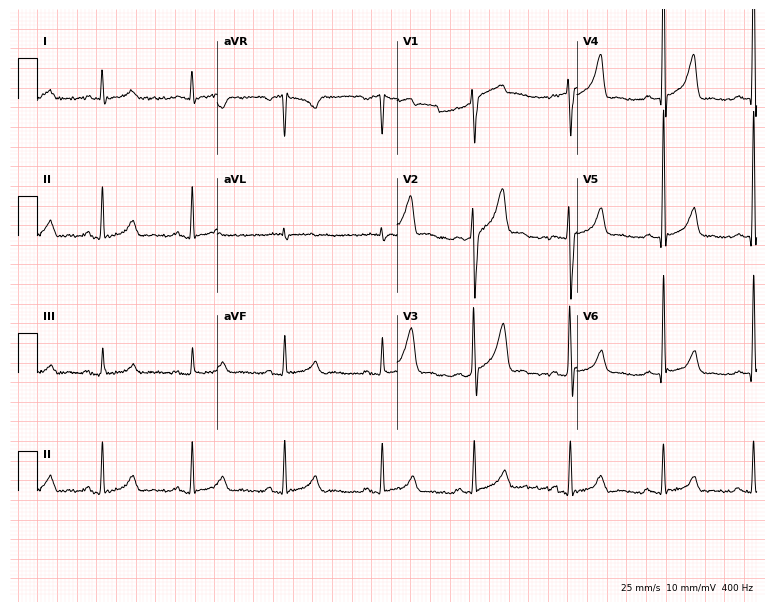
Standard 12-lead ECG recorded from a 33-year-old male patient. Read as a normal ECG.